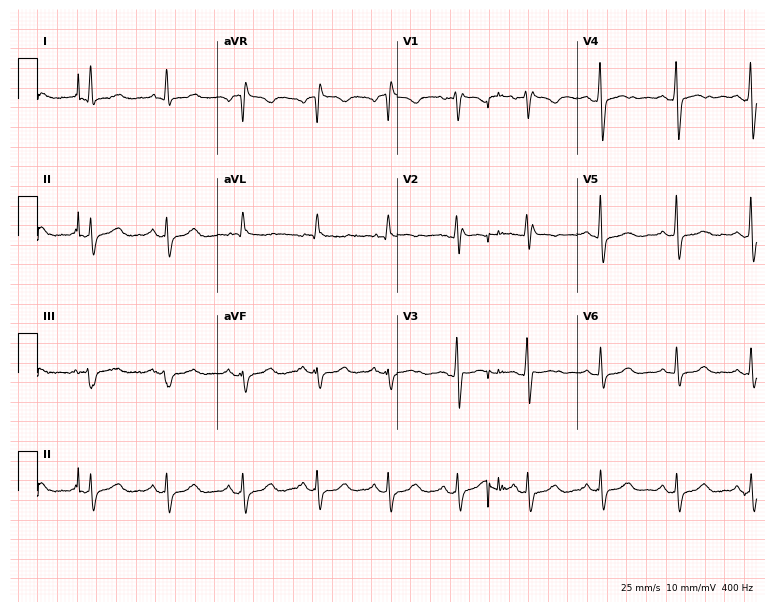
12-lead ECG from a female patient, 46 years old. Screened for six findings — first-degree AV block, right bundle branch block, left bundle branch block, sinus bradycardia, atrial fibrillation, sinus tachycardia — none is recorded.